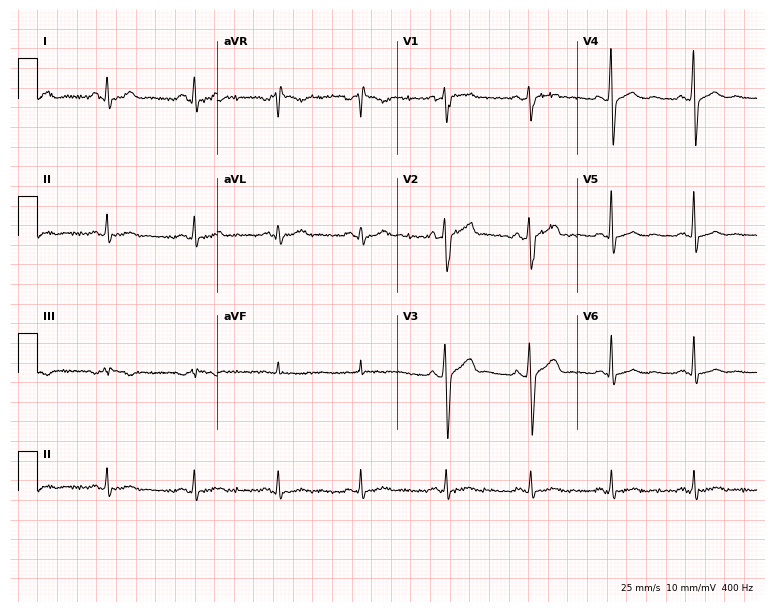
Electrocardiogram, a man, 41 years old. Of the six screened findings (first-degree AV block, right bundle branch block, left bundle branch block, sinus bradycardia, atrial fibrillation, sinus tachycardia), none is recorded. Only these six findings were labelled.